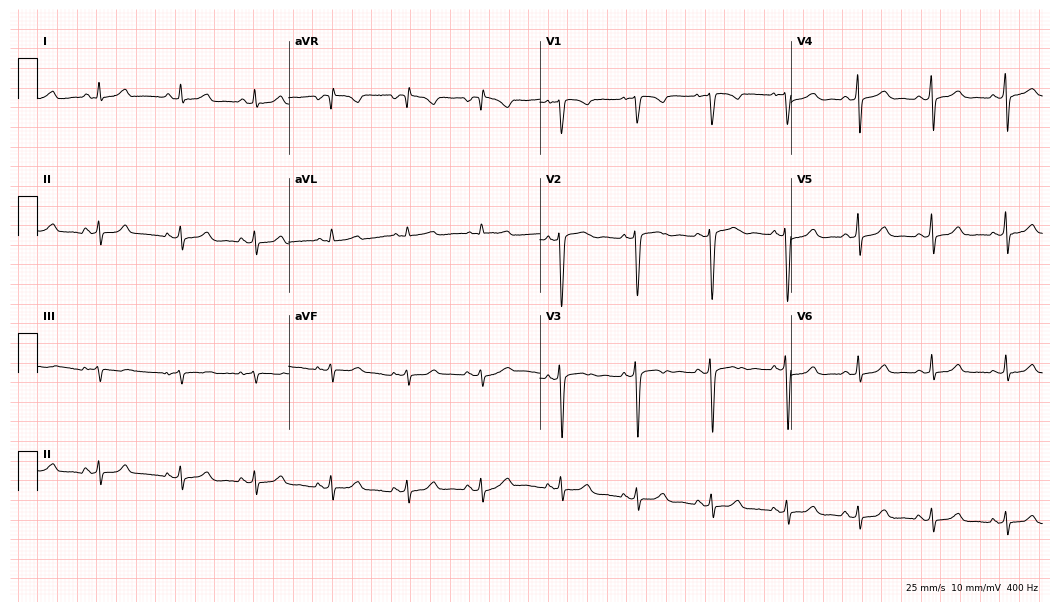
Standard 12-lead ECG recorded from a female, 33 years old (10.2-second recording at 400 Hz). None of these six findings is recorded: first-degree AV block, right bundle branch block, left bundle branch block, sinus bradycardia, atrial fibrillation, sinus tachycardia.